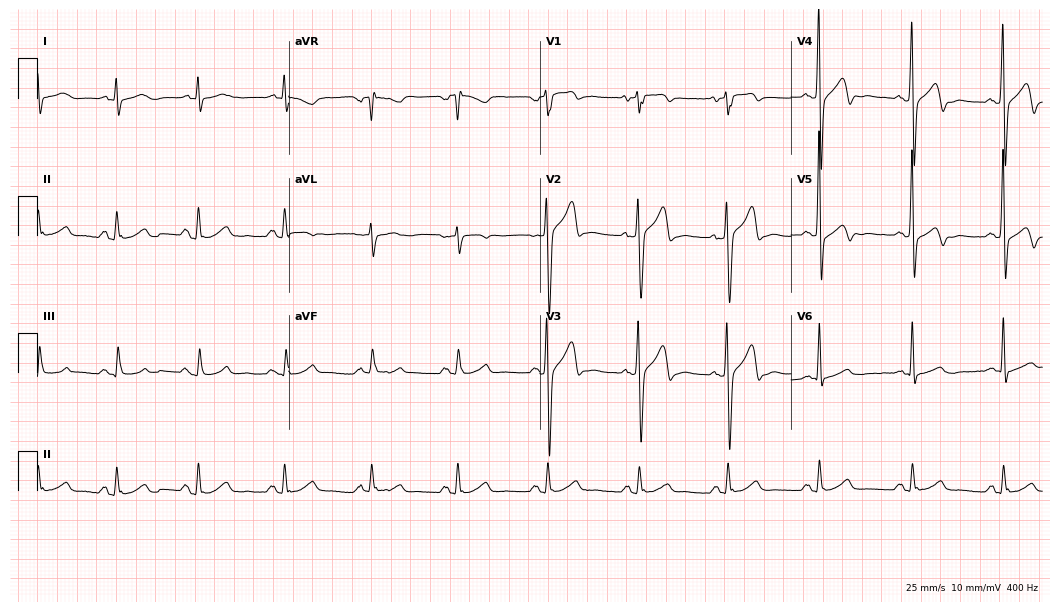
ECG (10.2-second recording at 400 Hz) — a 60-year-old man. Screened for six findings — first-degree AV block, right bundle branch block, left bundle branch block, sinus bradycardia, atrial fibrillation, sinus tachycardia — none is recorded.